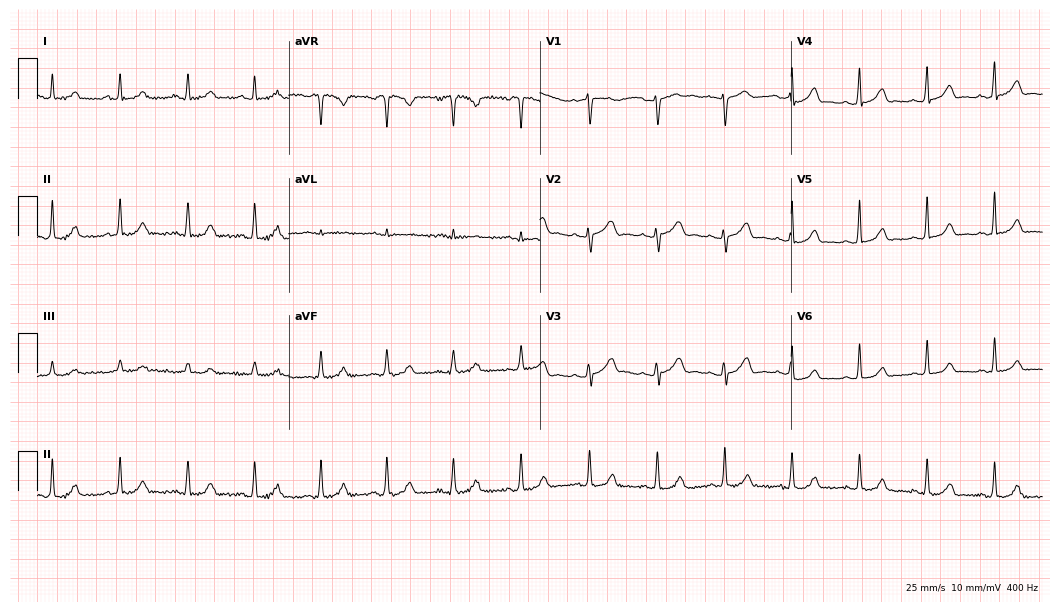
Resting 12-lead electrocardiogram (10.2-second recording at 400 Hz). Patient: a 37-year-old female. Read as a normal ECG.